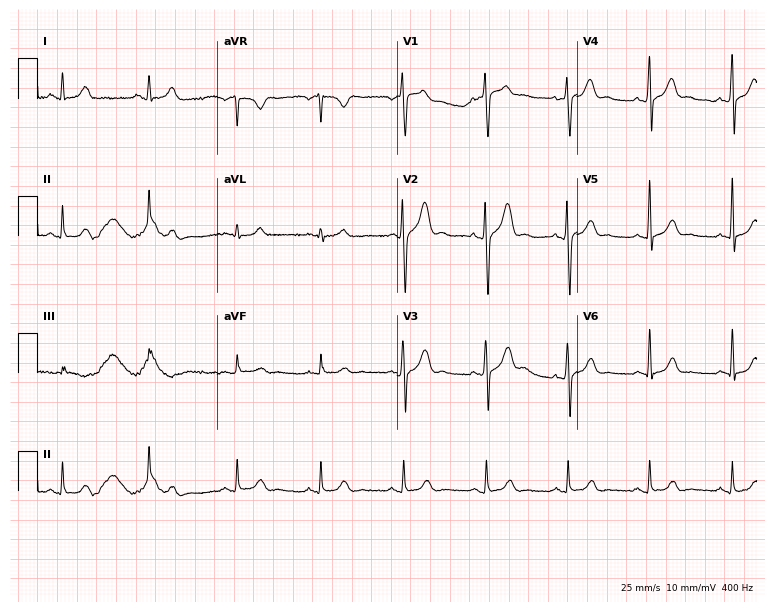
Electrocardiogram (7.3-second recording at 400 Hz), a 34-year-old man. Overall reading on record: normal ECG.